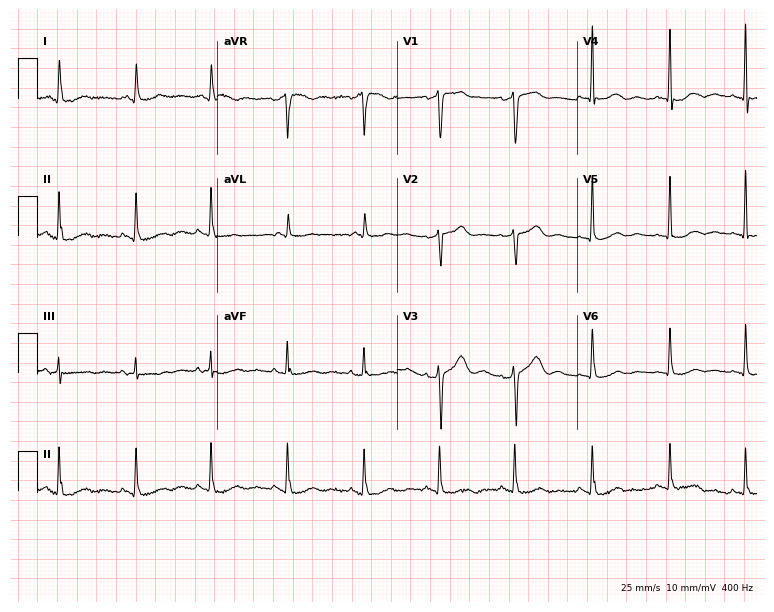
Resting 12-lead electrocardiogram. Patient: a 57-year-old female. None of these six findings is recorded: first-degree AV block, right bundle branch block, left bundle branch block, sinus bradycardia, atrial fibrillation, sinus tachycardia.